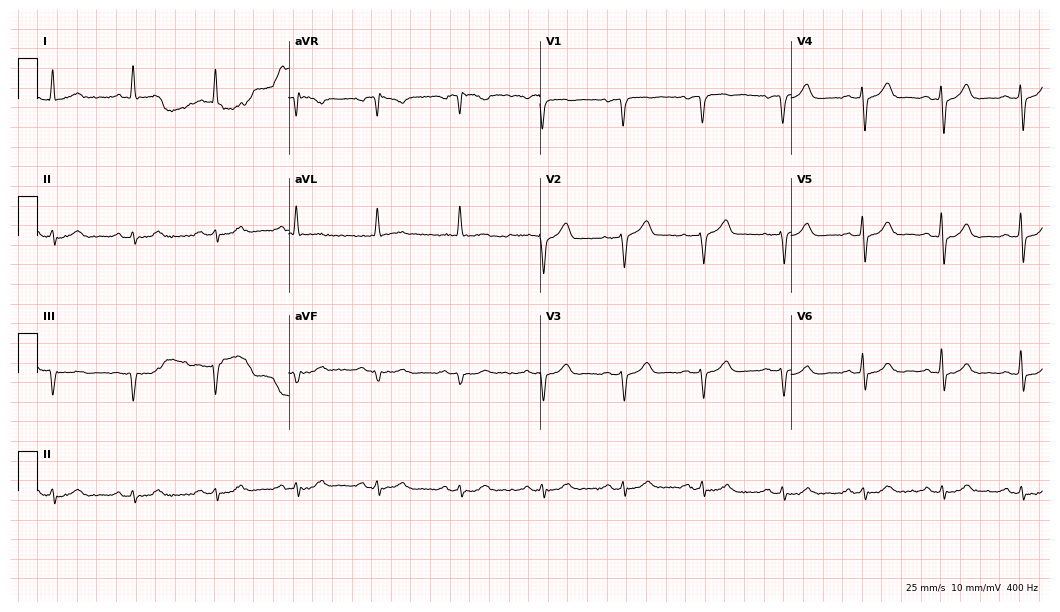
12-lead ECG from a male patient, 79 years old (10.2-second recording at 400 Hz). Recorded interpretation: within normal limits.